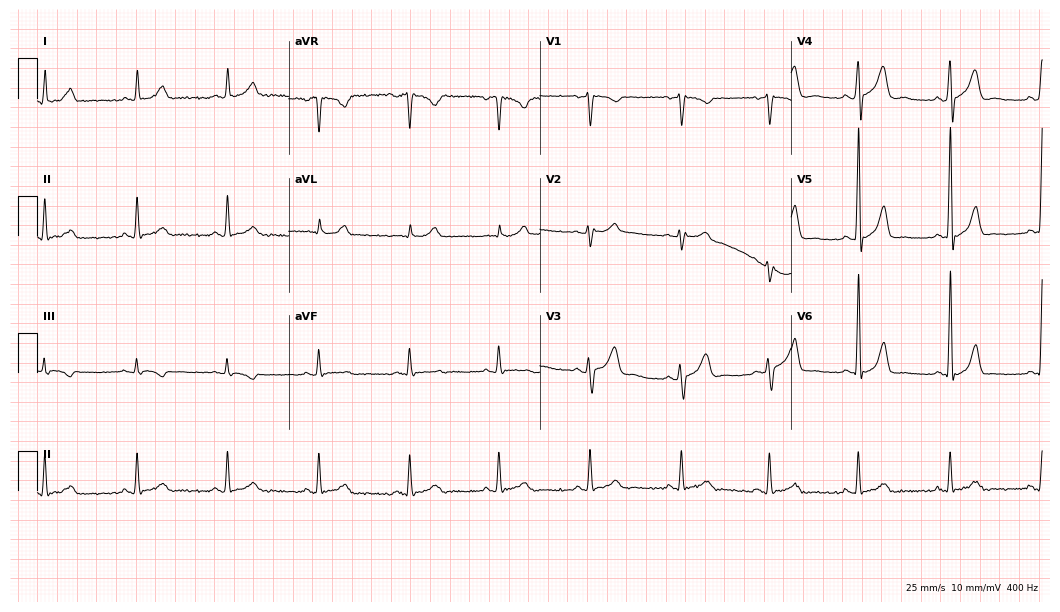
Resting 12-lead electrocardiogram (10.2-second recording at 400 Hz). Patient: a male, 46 years old. Read as a normal ECG.